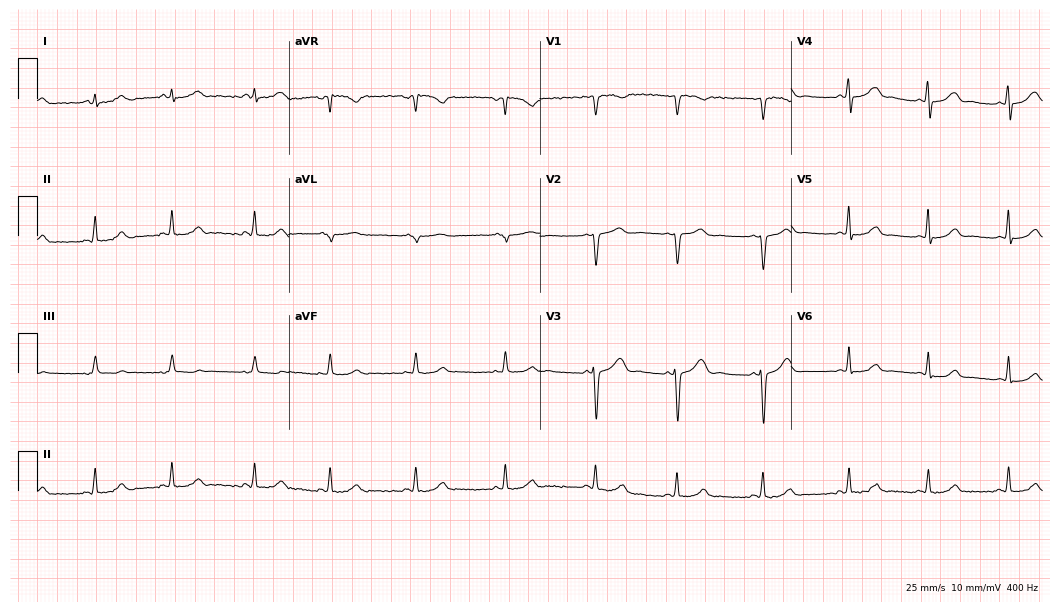
ECG — a female patient, 31 years old. Labelled as a normal ECG.